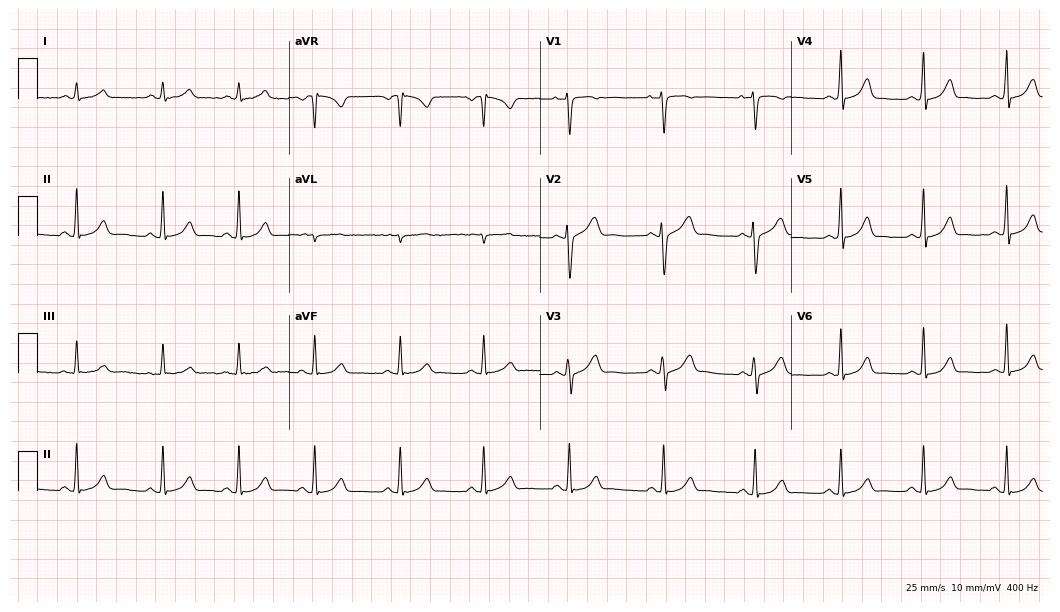
ECG (10.2-second recording at 400 Hz) — a woman, 19 years old. Labelled as a normal ECG.